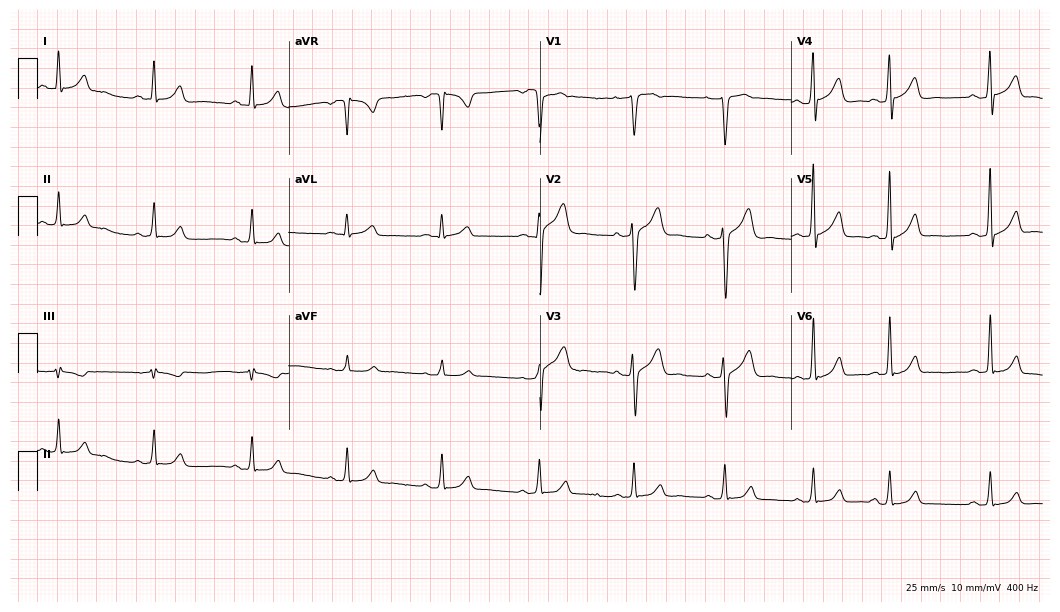
12-lead ECG from a male patient, 34 years old. Screened for six findings — first-degree AV block, right bundle branch block, left bundle branch block, sinus bradycardia, atrial fibrillation, sinus tachycardia — none is recorded. Only these six findings were labelled.